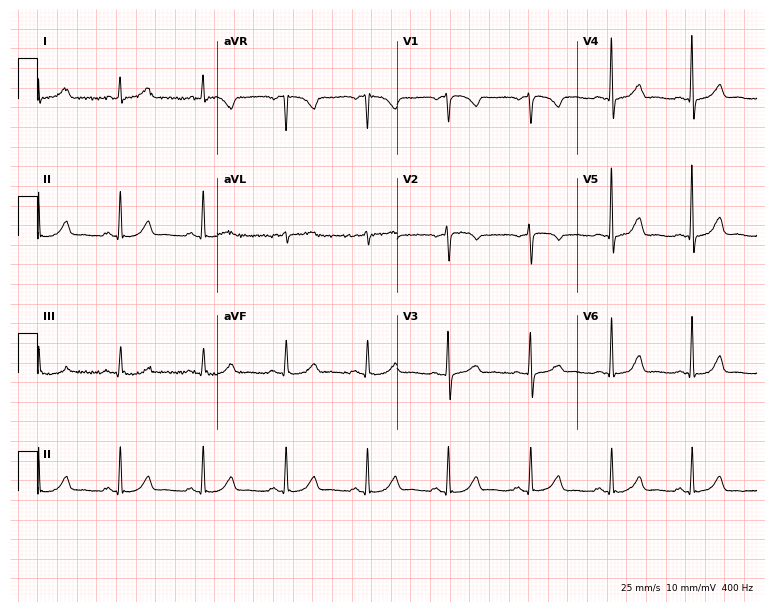
Resting 12-lead electrocardiogram. Patient: a 50-year-old woman. Read as a normal ECG.